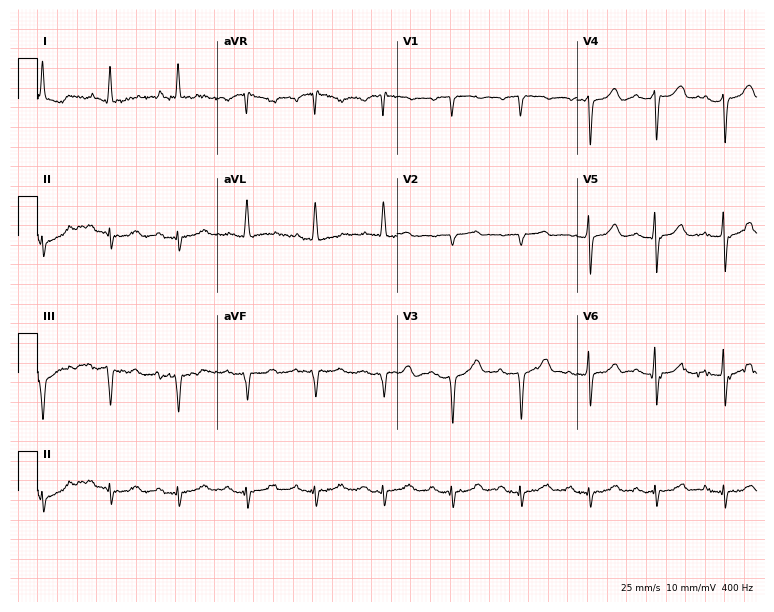
Standard 12-lead ECG recorded from a female, 70 years old. None of these six findings is recorded: first-degree AV block, right bundle branch block (RBBB), left bundle branch block (LBBB), sinus bradycardia, atrial fibrillation (AF), sinus tachycardia. Findings outside these six are not listed.